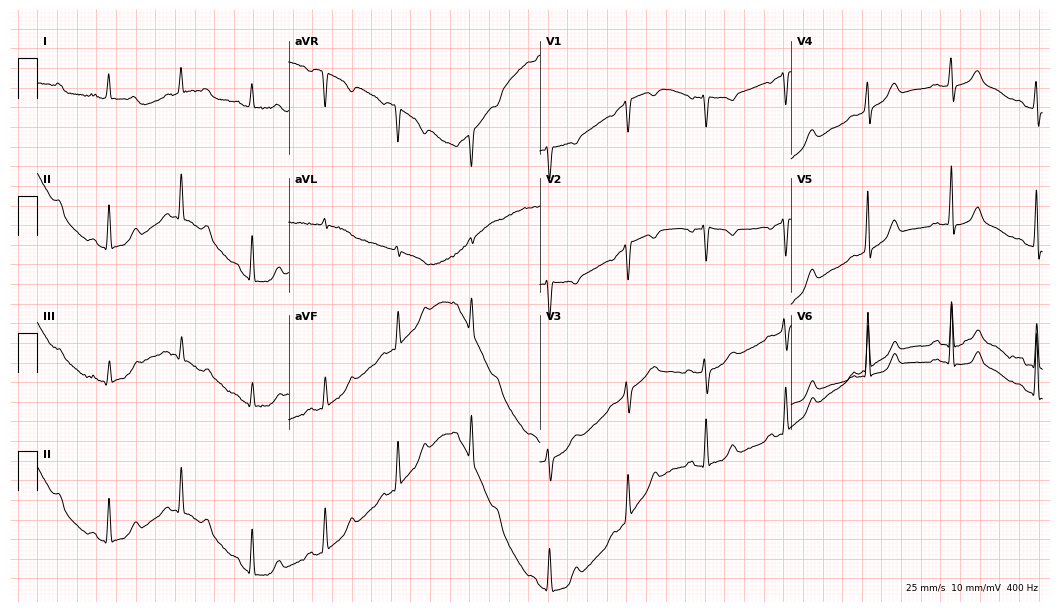
Electrocardiogram, a female, 58 years old. Overall reading on record: normal ECG.